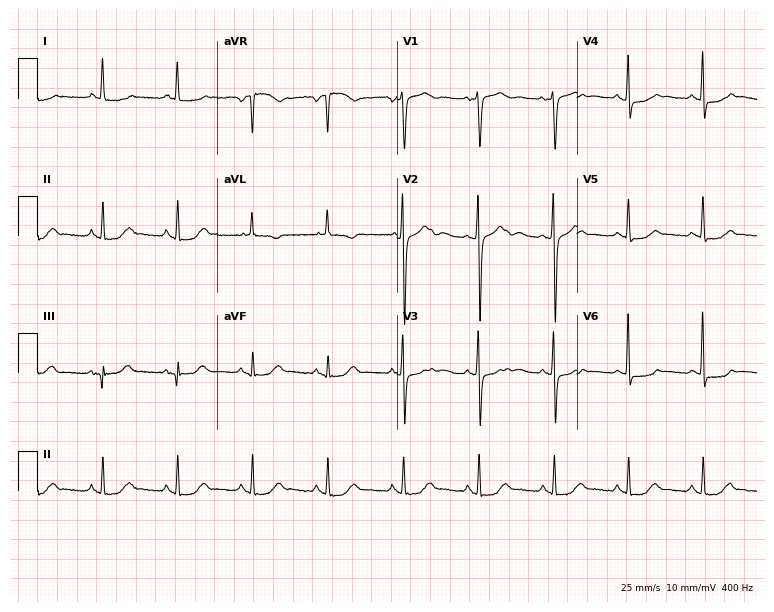
12-lead ECG from a 68-year-old male. Screened for six findings — first-degree AV block, right bundle branch block, left bundle branch block, sinus bradycardia, atrial fibrillation, sinus tachycardia — none is recorded. Other findings, if any, are not listed.